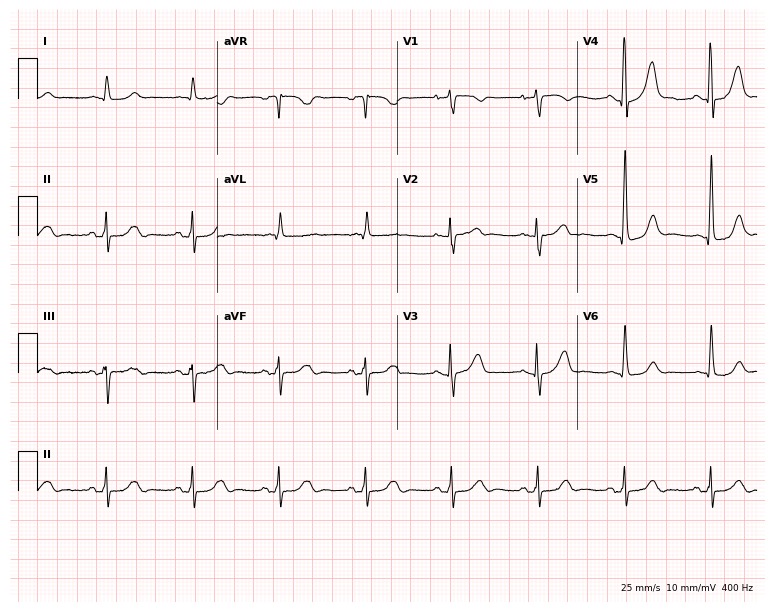
ECG (7.3-second recording at 400 Hz) — a male, 85 years old. Screened for six findings — first-degree AV block, right bundle branch block (RBBB), left bundle branch block (LBBB), sinus bradycardia, atrial fibrillation (AF), sinus tachycardia — none is recorded. Findings outside these six are not listed.